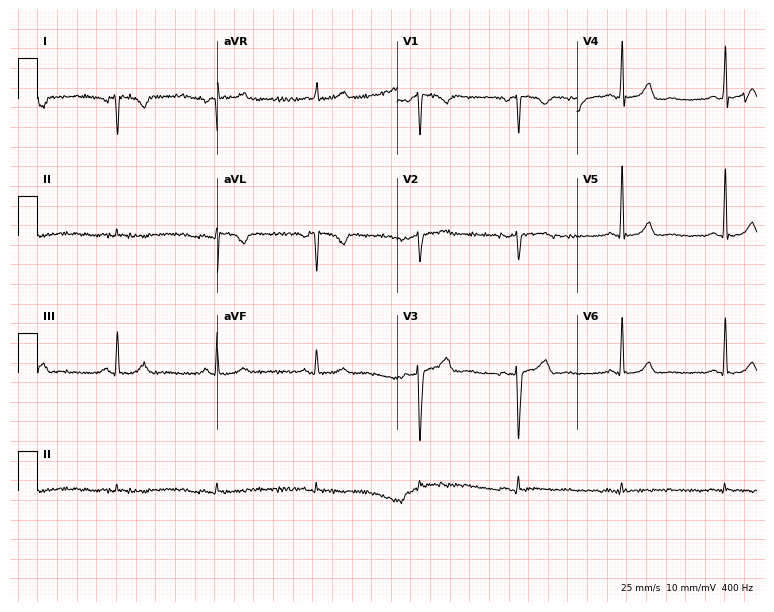
Electrocardiogram, a 44-year-old woman. Of the six screened findings (first-degree AV block, right bundle branch block (RBBB), left bundle branch block (LBBB), sinus bradycardia, atrial fibrillation (AF), sinus tachycardia), none is recorded. Other findings, if any, are not listed.